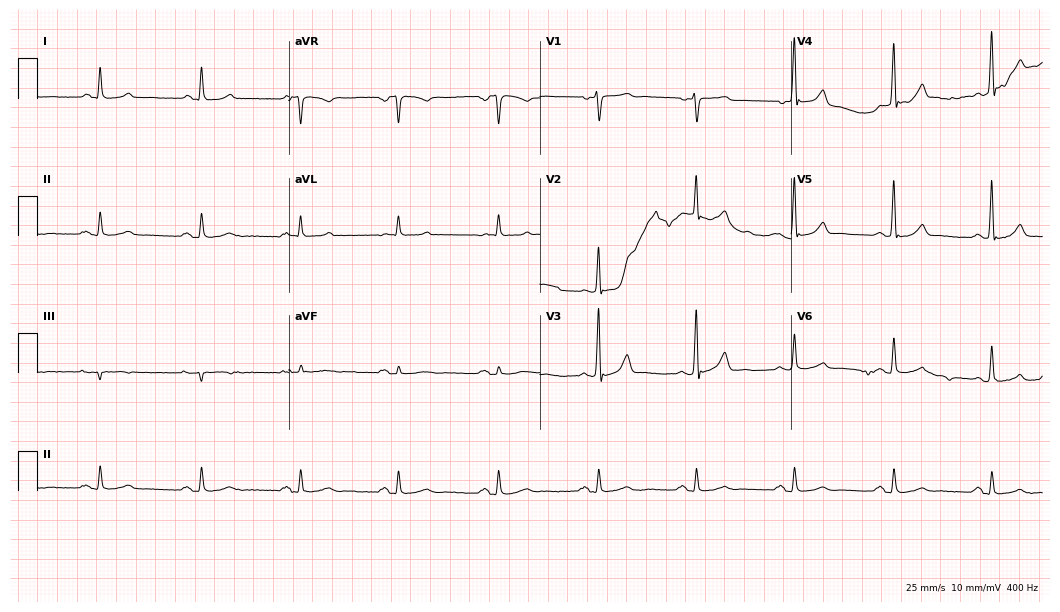
12-lead ECG from a man, 60 years old (10.2-second recording at 400 Hz). Recorded interpretation: within normal limits.